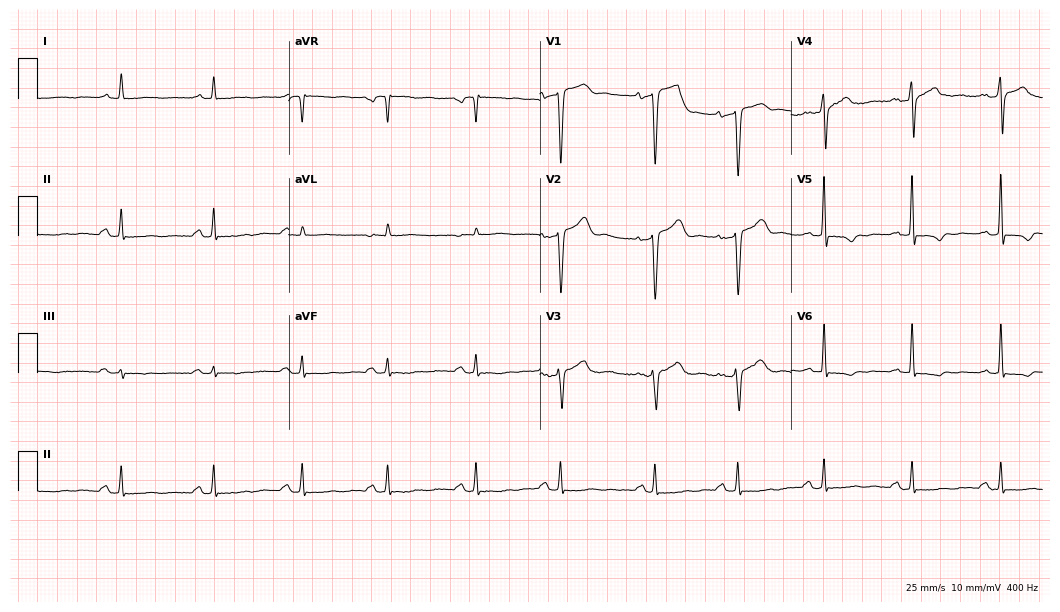
ECG (10.2-second recording at 400 Hz) — a 57-year-old man. Screened for six findings — first-degree AV block, right bundle branch block (RBBB), left bundle branch block (LBBB), sinus bradycardia, atrial fibrillation (AF), sinus tachycardia — none is recorded. Other findings, if any, are not listed.